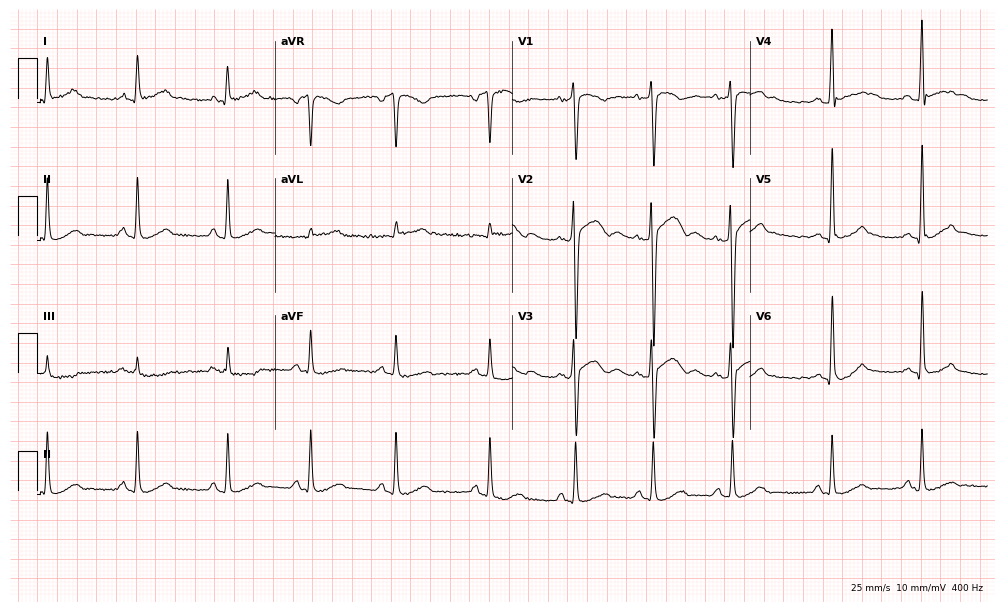
Resting 12-lead electrocardiogram (9.7-second recording at 400 Hz). Patient: a 23-year-old male. None of these six findings is recorded: first-degree AV block, right bundle branch block, left bundle branch block, sinus bradycardia, atrial fibrillation, sinus tachycardia. Findings outside these six are not listed.